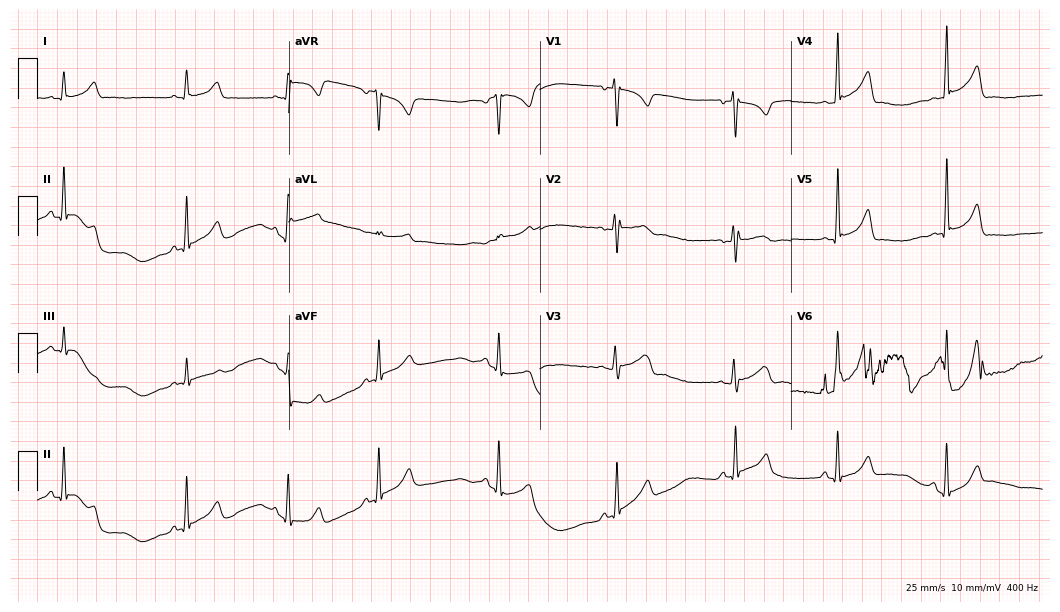
12-lead ECG from a woman, 33 years old (10.2-second recording at 400 Hz). No first-degree AV block, right bundle branch block (RBBB), left bundle branch block (LBBB), sinus bradycardia, atrial fibrillation (AF) or sinus tachycardia recorded for this tracing.